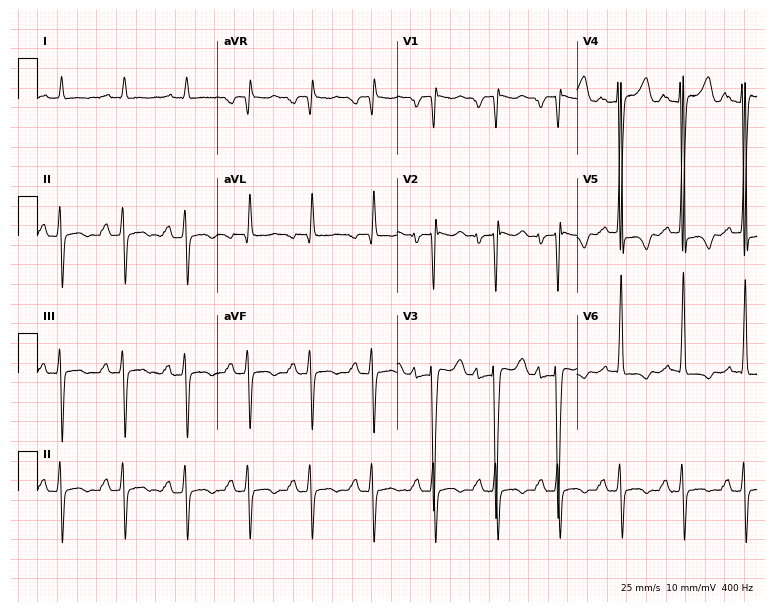
Resting 12-lead electrocardiogram (7.3-second recording at 400 Hz). Patient: a male, 42 years old. None of these six findings is recorded: first-degree AV block, right bundle branch block, left bundle branch block, sinus bradycardia, atrial fibrillation, sinus tachycardia.